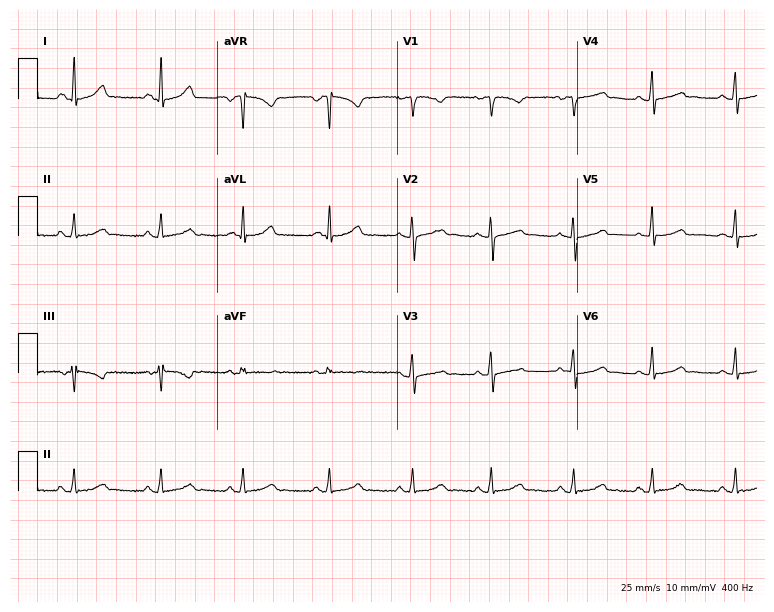
12-lead ECG from a female patient, 24 years old. Labelled as a normal ECG.